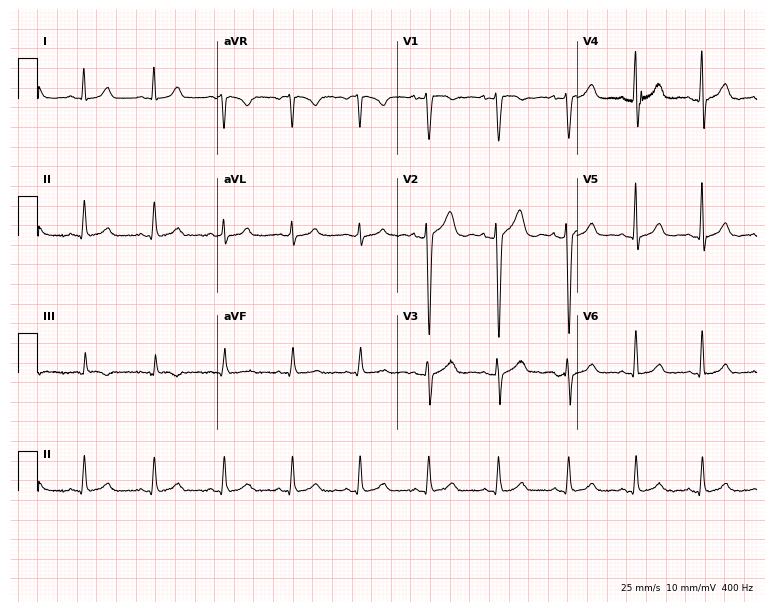
Standard 12-lead ECG recorded from a 29-year-old man. Read as a normal ECG.